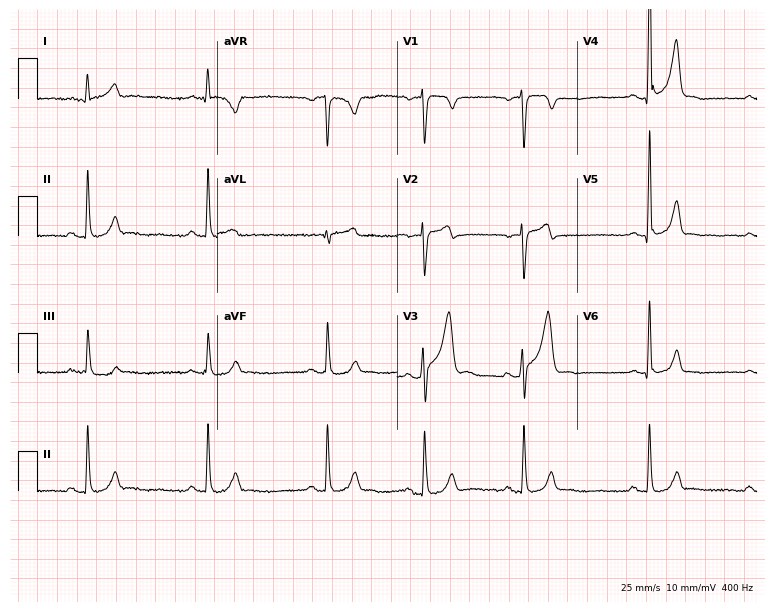
Resting 12-lead electrocardiogram (7.3-second recording at 400 Hz). Patient: a female, 24 years old. Read as a normal ECG.